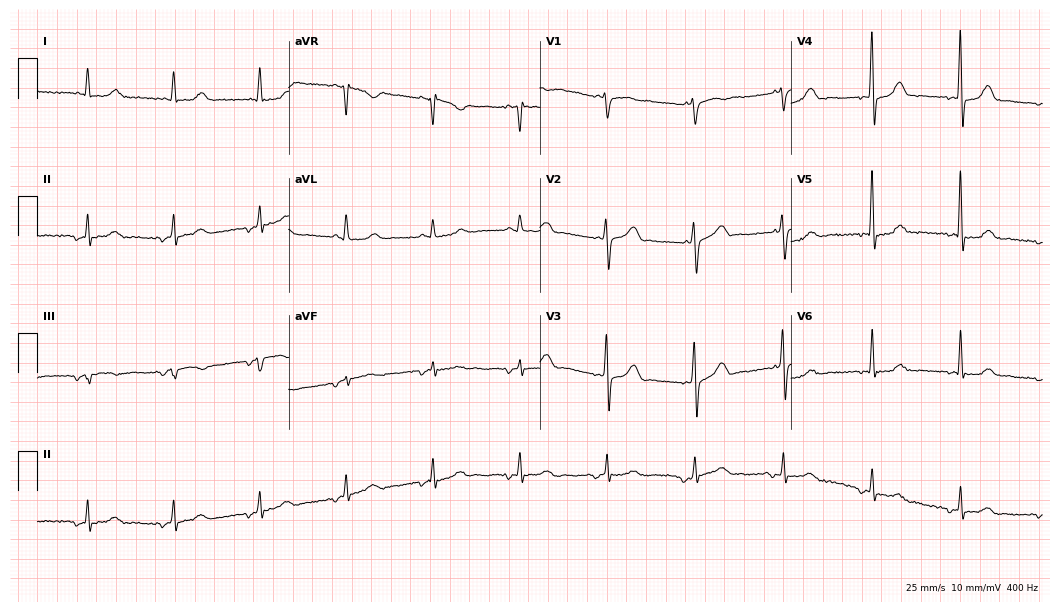
Resting 12-lead electrocardiogram (10.2-second recording at 400 Hz). Patient: a man, 72 years old. Read as a normal ECG.